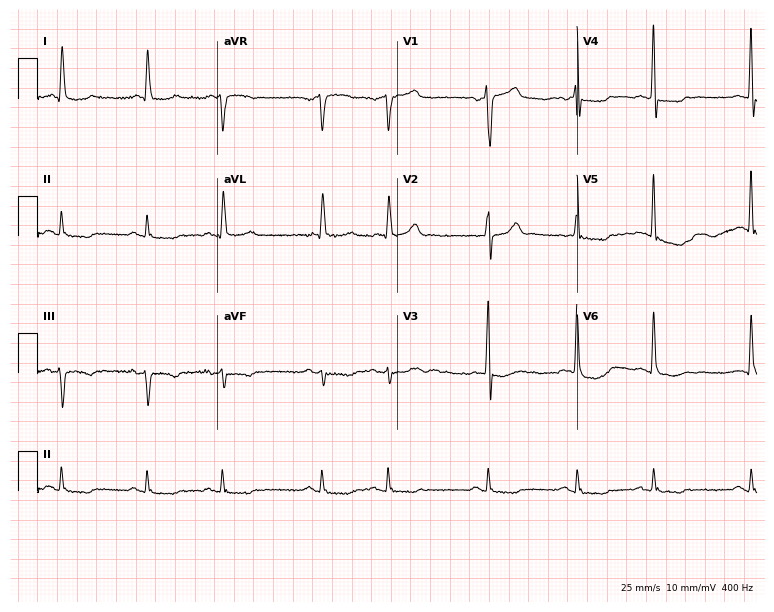
Resting 12-lead electrocardiogram. Patient: a 75-year-old man. None of these six findings is recorded: first-degree AV block, right bundle branch block, left bundle branch block, sinus bradycardia, atrial fibrillation, sinus tachycardia.